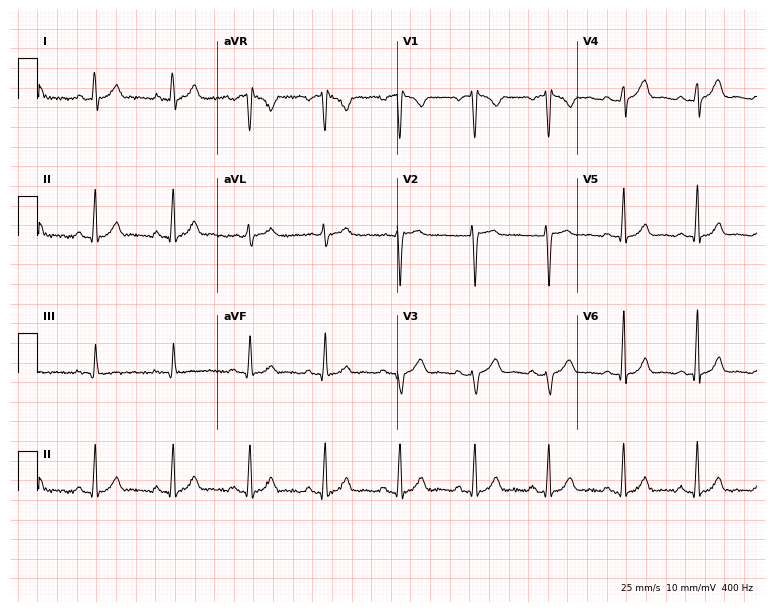
Resting 12-lead electrocardiogram (7.3-second recording at 400 Hz). Patient: a male, 44 years old. Read as a normal ECG.